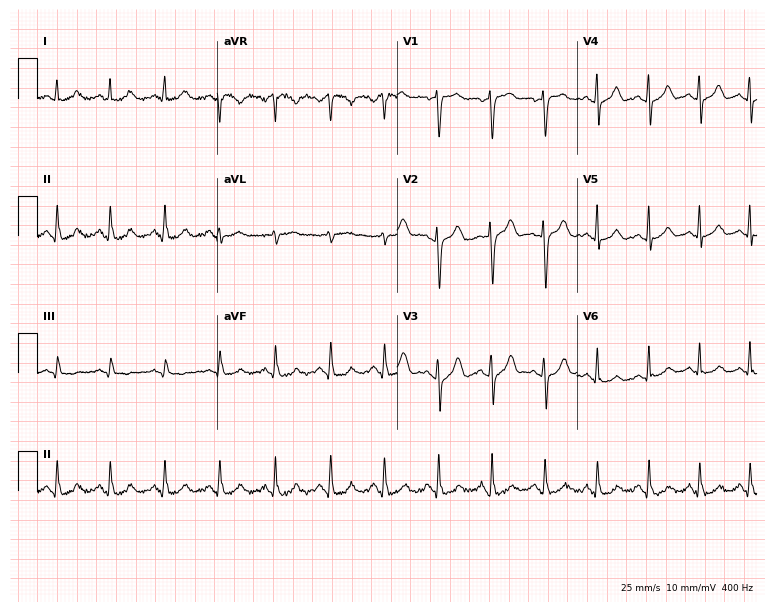
12-lead ECG from a woman, 56 years old. Shows sinus tachycardia (a sinus rate of 100 beats per minute or more).